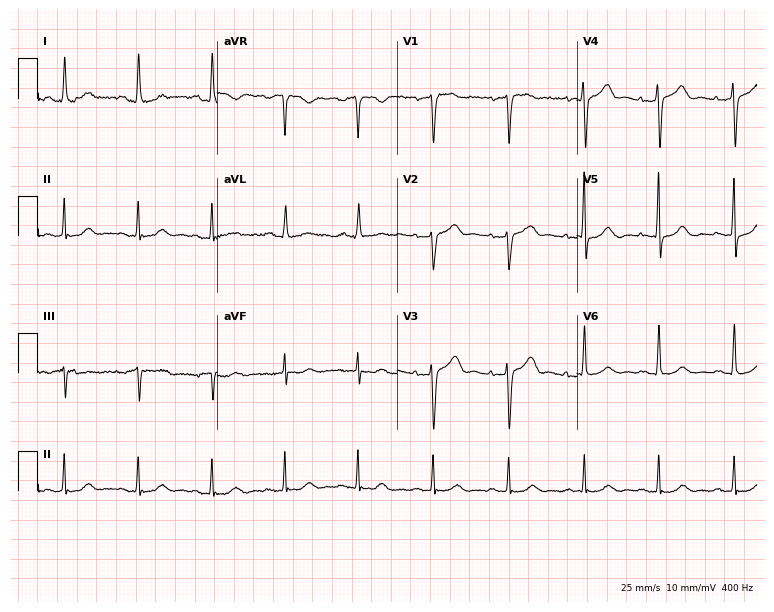
Resting 12-lead electrocardiogram (7.3-second recording at 400 Hz). Patient: an 80-year-old female. Read as a normal ECG.